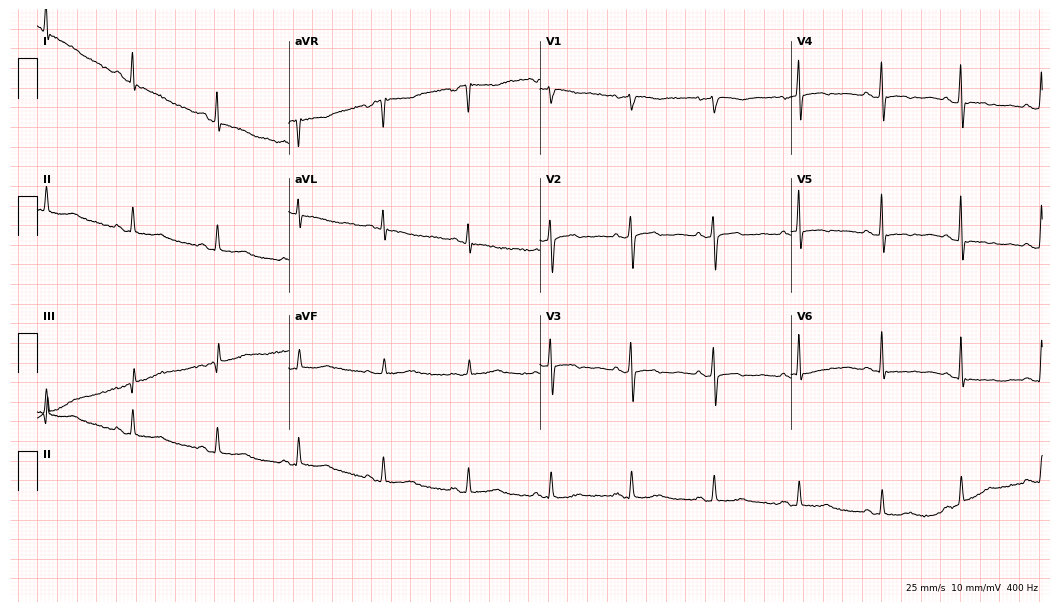
Resting 12-lead electrocardiogram (10.2-second recording at 400 Hz). Patient: a female, 62 years old. None of these six findings is recorded: first-degree AV block, right bundle branch block, left bundle branch block, sinus bradycardia, atrial fibrillation, sinus tachycardia.